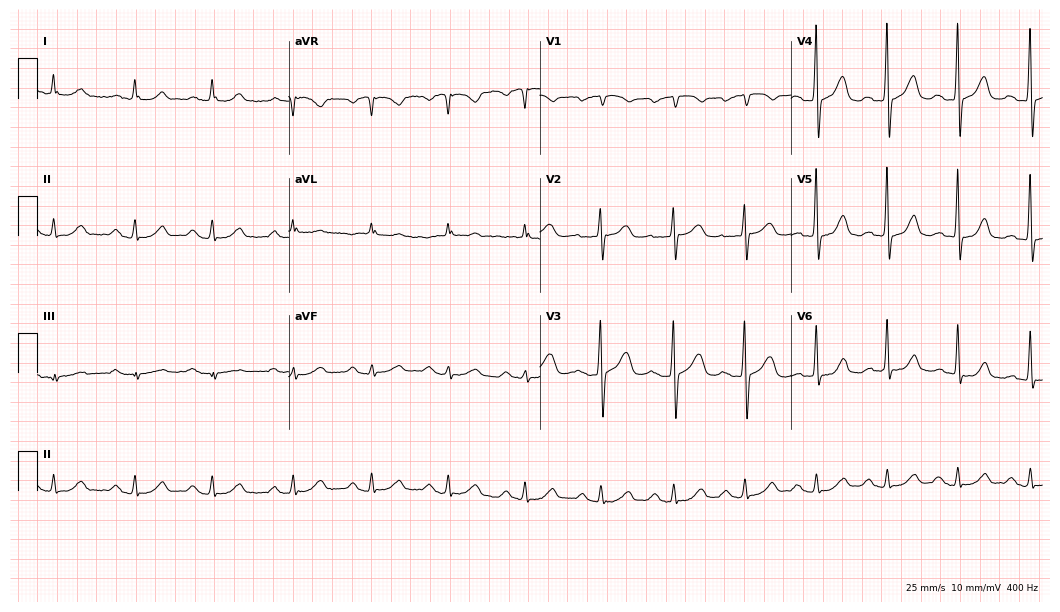
ECG (10.2-second recording at 400 Hz) — a 65-year-old female patient. Findings include first-degree AV block.